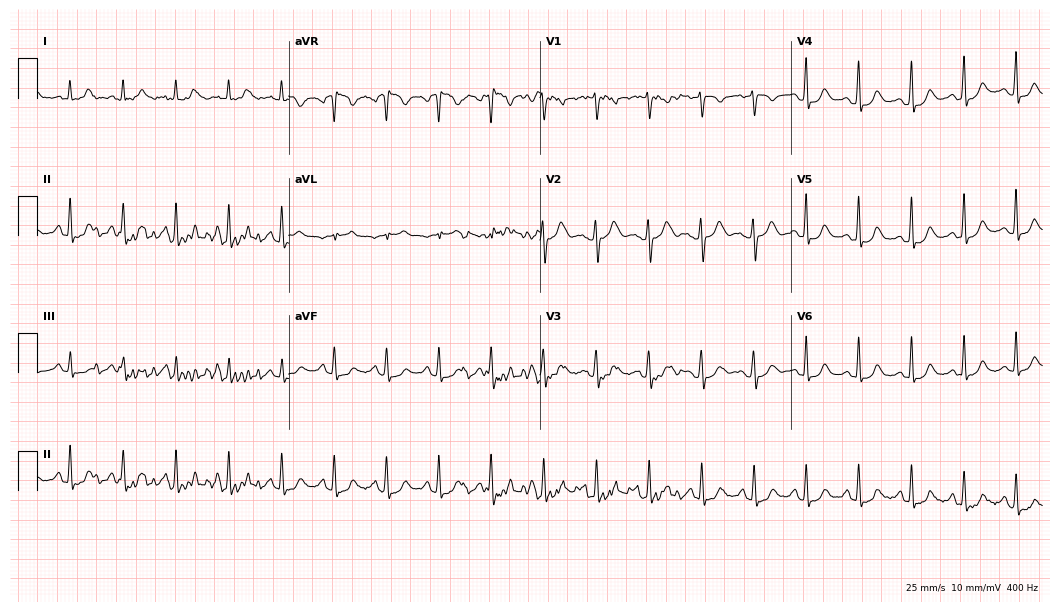
ECG (10.2-second recording at 400 Hz) — a 31-year-old female. Screened for six findings — first-degree AV block, right bundle branch block, left bundle branch block, sinus bradycardia, atrial fibrillation, sinus tachycardia — none is recorded. Other findings, if any, are not listed.